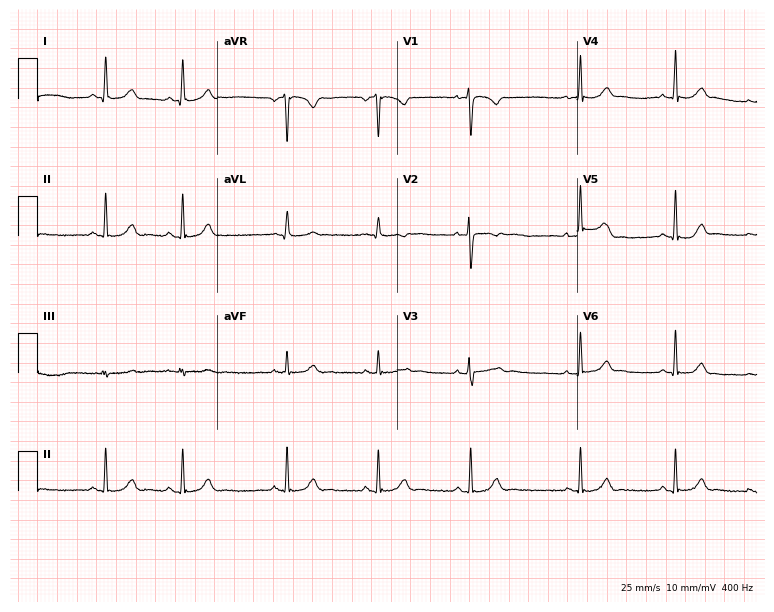
Electrocardiogram (7.3-second recording at 400 Hz), a woman, 18 years old. Of the six screened findings (first-degree AV block, right bundle branch block, left bundle branch block, sinus bradycardia, atrial fibrillation, sinus tachycardia), none is recorded.